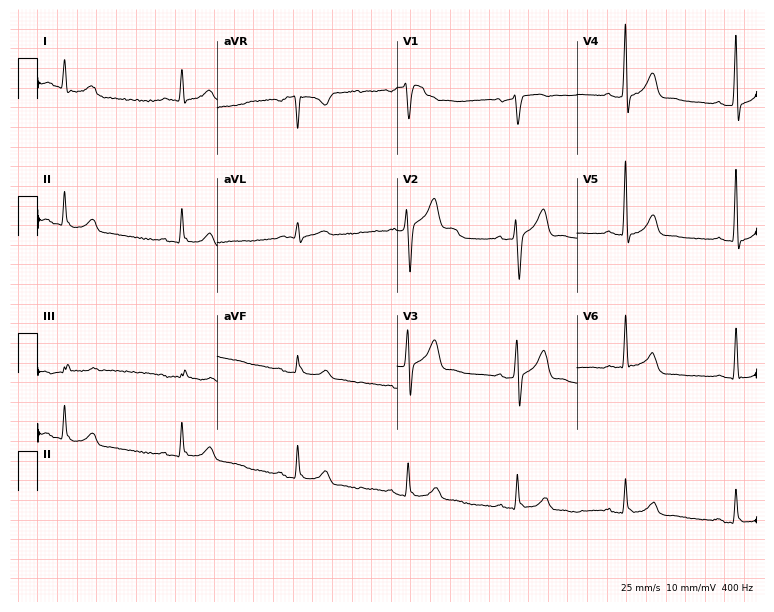
Resting 12-lead electrocardiogram (7.3-second recording at 400 Hz). Patient: a 52-year-old male. None of these six findings is recorded: first-degree AV block, right bundle branch block, left bundle branch block, sinus bradycardia, atrial fibrillation, sinus tachycardia. Findings outside these six are not listed.